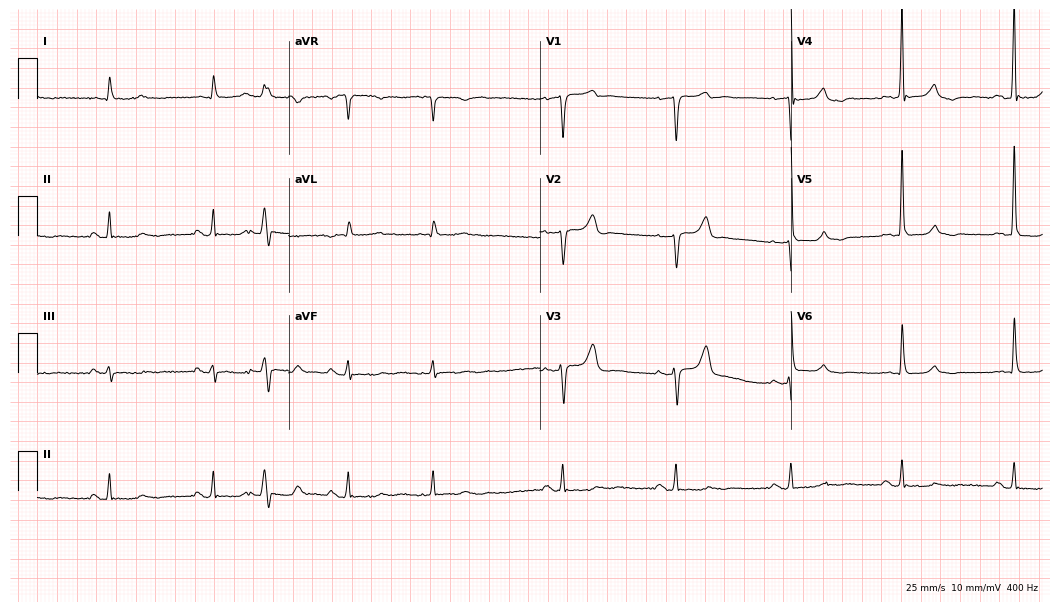
12-lead ECG from a 74-year-old male (10.2-second recording at 400 Hz). No first-degree AV block, right bundle branch block, left bundle branch block, sinus bradycardia, atrial fibrillation or sinus tachycardia recorded for this tracing. Only these six findings were labelled.